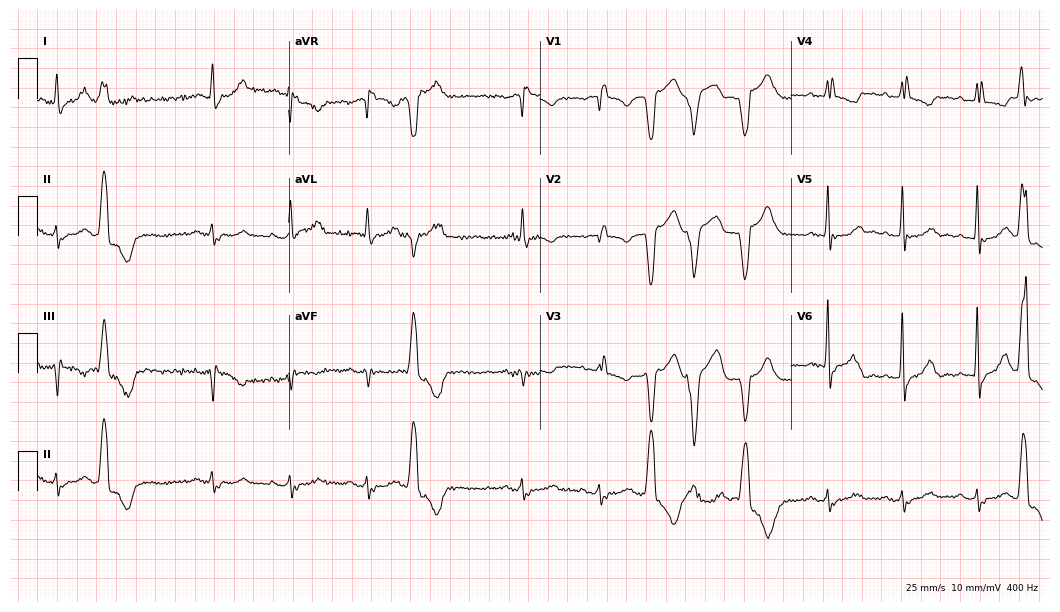
Resting 12-lead electrocardiogram (10.2-second recording at 400 Hz). Patient: a woman, 73 years old. None of these six findings is recorded: first-degree AV block, right bundle branch block, left bundle branch block, sinus bradycardia, atrial fibrillation, sinus tachycardia. Other findings, if any, are not listed.